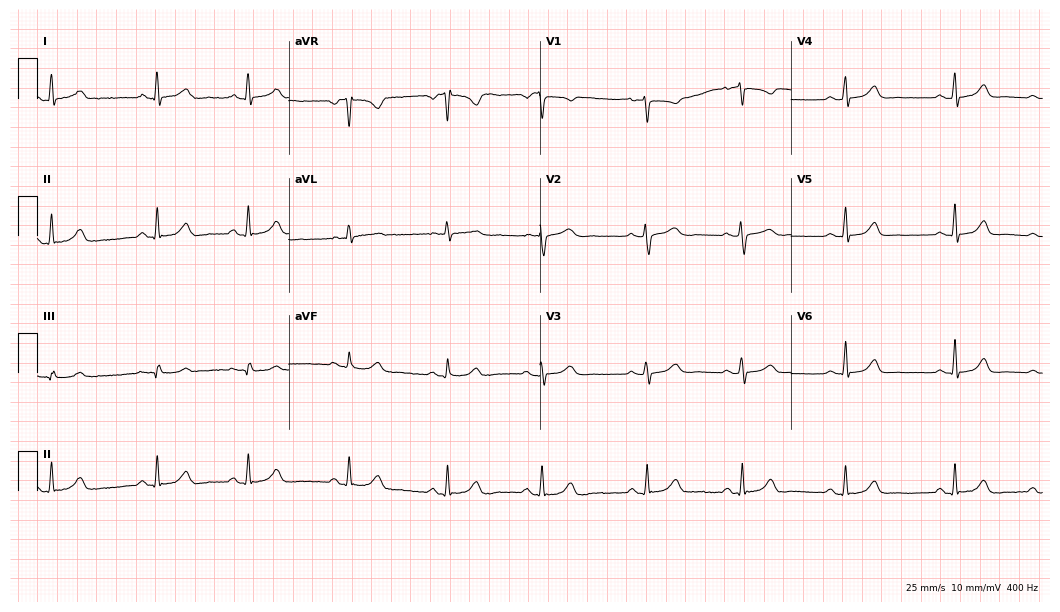
12-lead ECG from a female, 31 years old. Recorded interpretation: within normal limits.